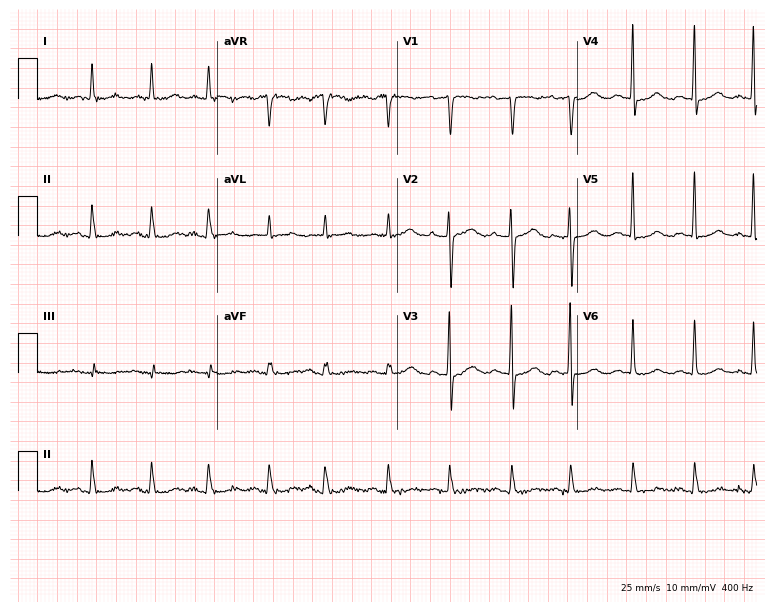
ECG — an 80-year-old woman. Screened for six findings — first-degree AV block, right bundle branch block (RBBB), left bundle branch block (LBBB), sinus bradycardia, atrial fibrillation (AF), sinus tachycardia — none is recorded. Findings outside these six are not listed.